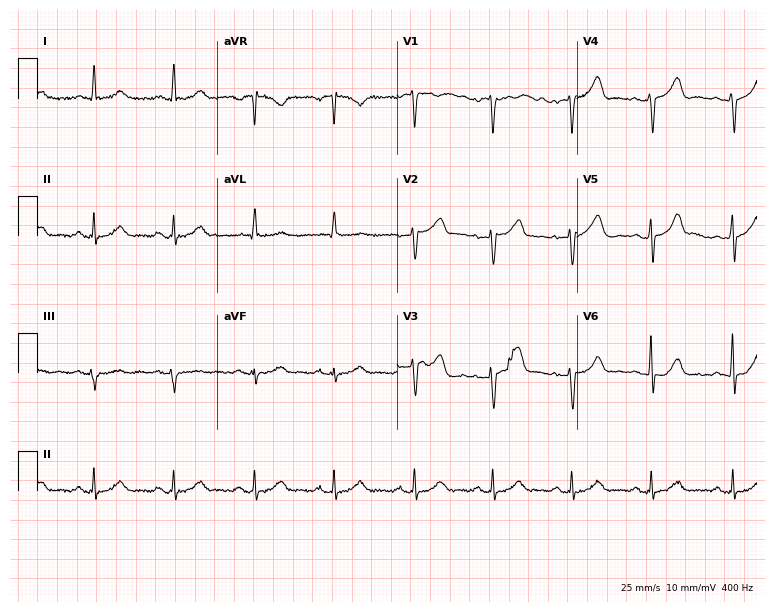
Standard 12-lead ECG recorded from a 61-year-old woman (7.3-second recording at 400 Hz). Read as a normal ECG.